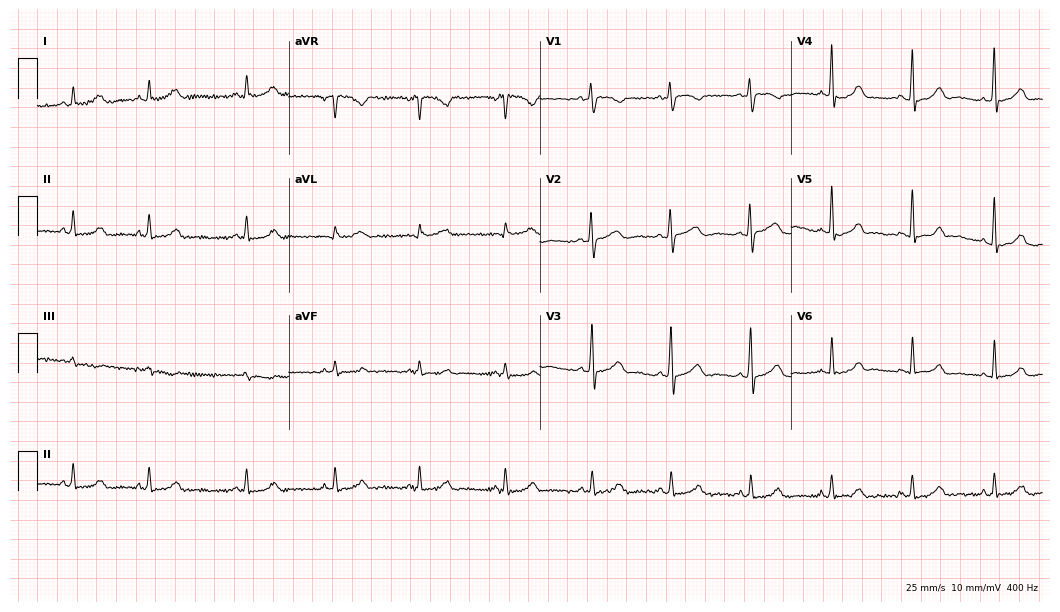
12-lead ECG from a female, 48 years old (10.2-second recording at 400 Hz). No first-degree AV block, right bundle branch block, left bundle branch block, sinus bradycardia, atrial fibrillation or sinus tachycardia recorded for this tracing.